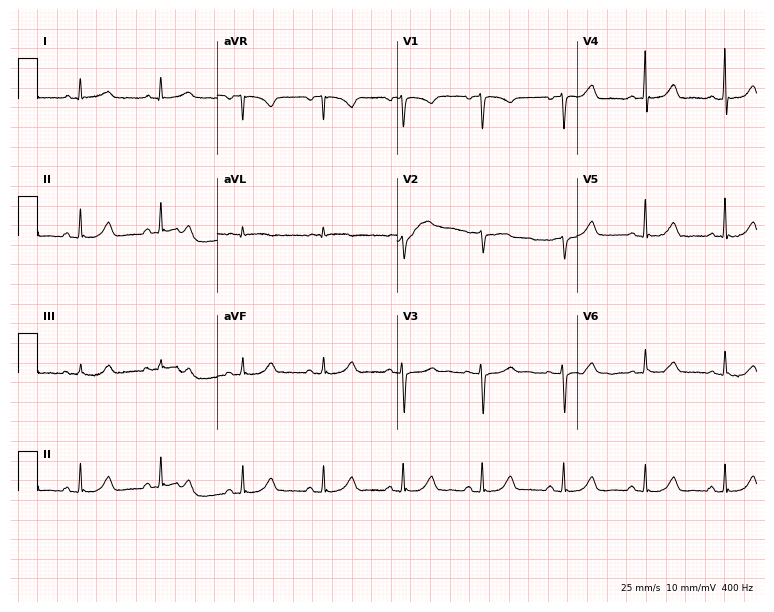
12-lead ECG from a female patient, 56 years old. No first-degree AV block, right bundle branch block, left bundle branch block, sinus bradycardia, atrial fibrillation or sinus tachycardia recorded for this tracing. Findings outside these six are not listed.